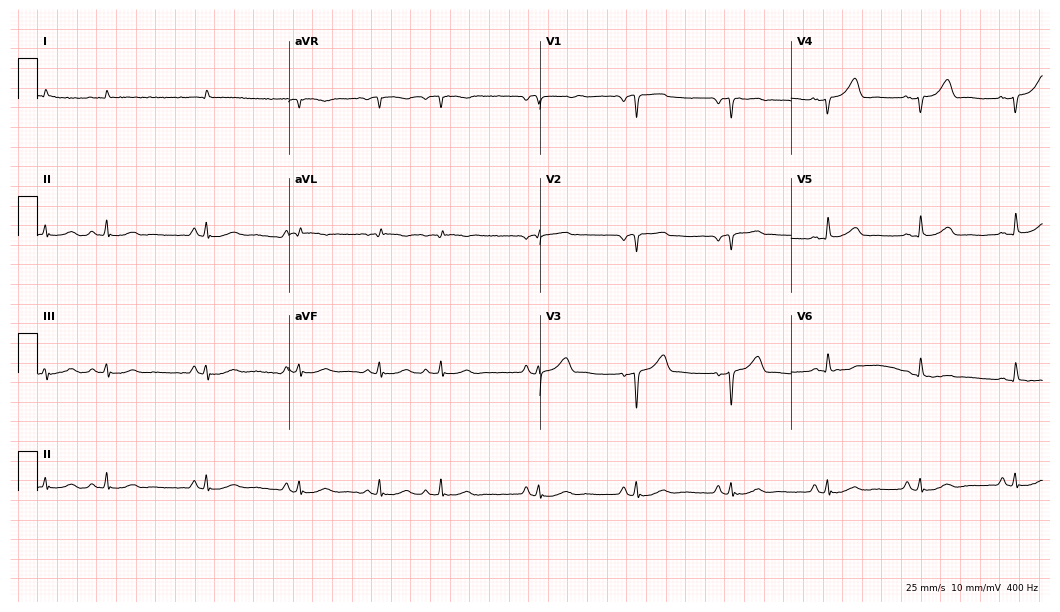
Standard 12-lead ECG recorded from a male patient, 77 years old. None of these six findings is recorded: first-degree AV block, right bundle branch block, left bundle branch block, sinus bradycardia, atrial fibrillation, sinus tachycardia. Only these six findings were labelled.